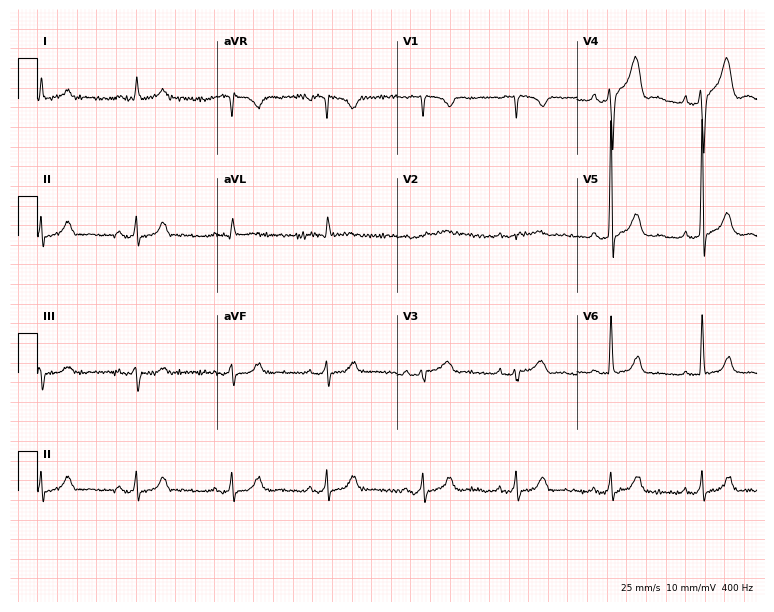
Standard 12-lead ECG recorded from a male patient, 45 years old (7.3-second recording at 400 Hz). Read as a normal ECG.